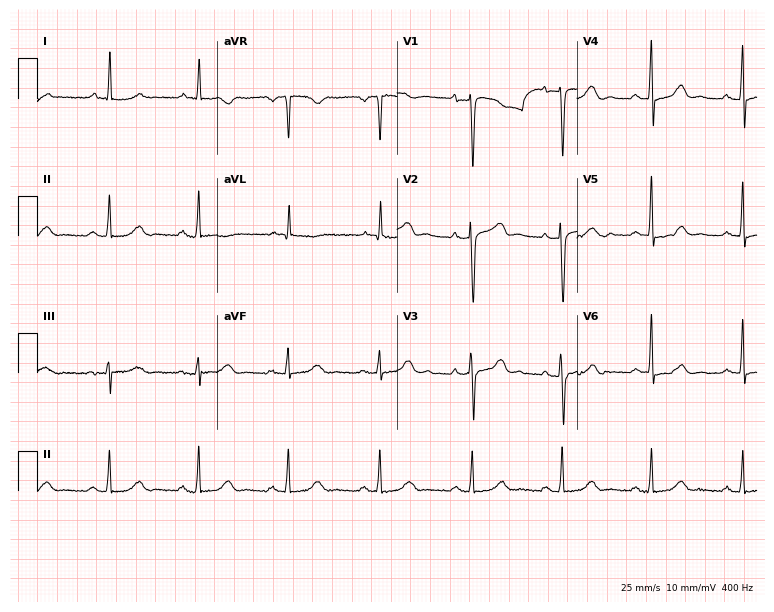
Resting 12-lead electrocardiogram (7.3-second recording at 400 Hz). Patient: a woman, 56 years old. Read as a normal ECG.